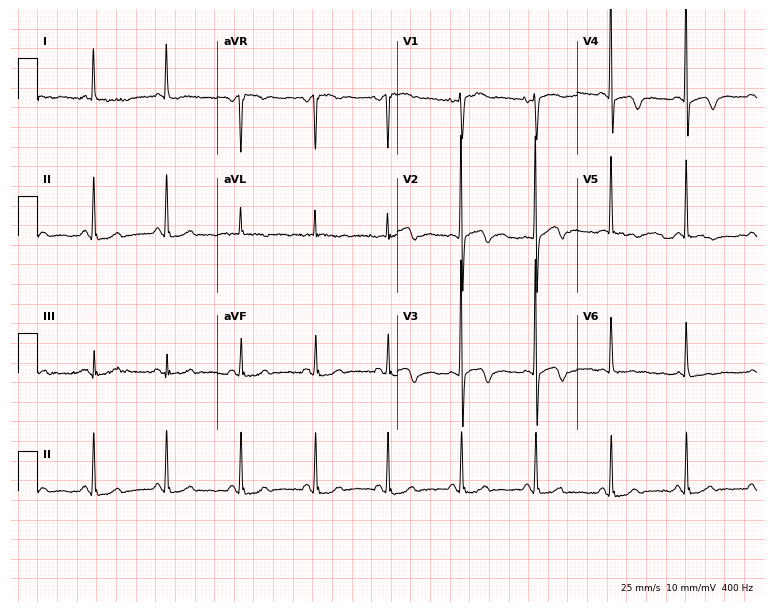
Electrocardiogram, a female, 78 years old. Of the six screened findings (first-degree AV block, right bundle branch block, left bundle branch block, sinus bradycardia, atrial fibrillation, sinus tachycardia), none is recorded.